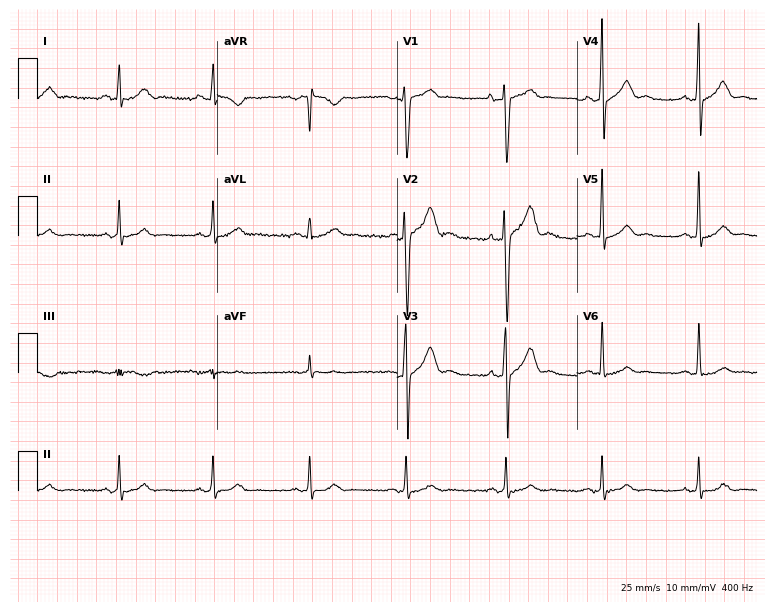
Resting 12-lead electrocardiogram. Patient: a 24-year-old male. Read as a normal ECG.